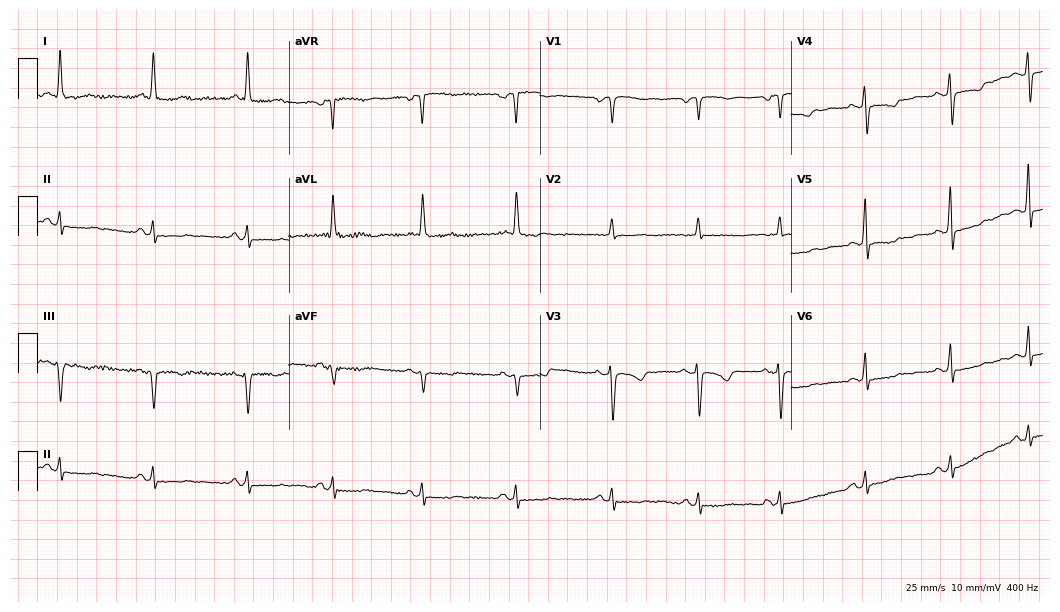
12-lead ECG from a 75-year-old female (10.2-second recording at 400 Hz). No first-degree AV block, right bundle branch block (RBBB), left bundle branch block (LBBB), sinus bradycardia, atrial fibrillation (AF) or sinus tachycardia recorded for this tracing. Other findings, if any, are not listed.